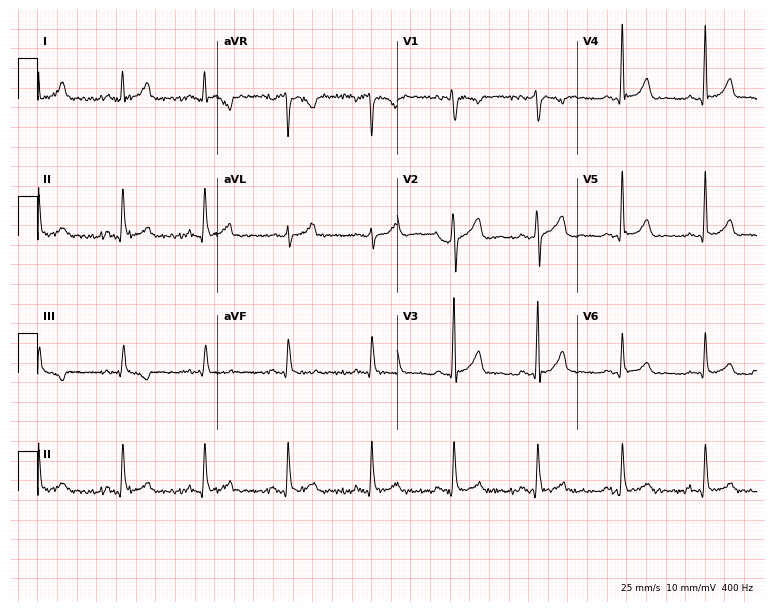
Standard 12-lead ECG recorded from a man, 40 years old. None of these six findings is recorded: first-degree AV block, right bundle branch block, left bundle branch block, sinus bradycardia, atrial fibrillation, sinus tachycardia. Only these six findings were labelled.